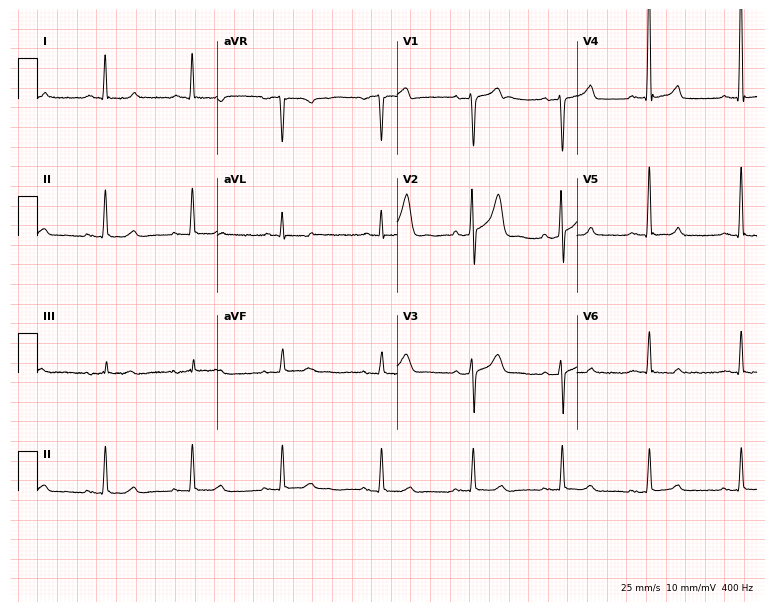
Standard 12-lead ECG recorded from an 80-year-old male (7.3-second recording at 400 Hz). None of these six findings is recorded: first-degree AV block, right bundle branch block, left bundle branch block, sinus bradycardia, atrial fibrillation, sinus tachycardia. Findings outside these six are not listed.